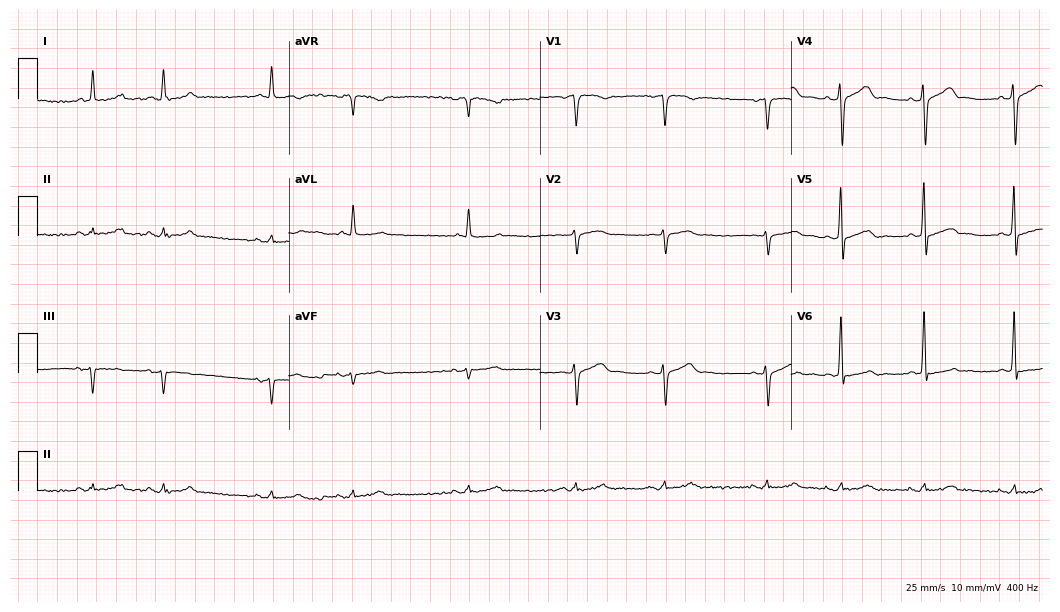
12-lead ECG from a 70-year-old man. No first-degree AV block, right bundle branch block, left bundle branch block, sinus bradycardia, atrial fibrillation or sinus tachycardia recorded for this tracing. Only these six findings were labelled.